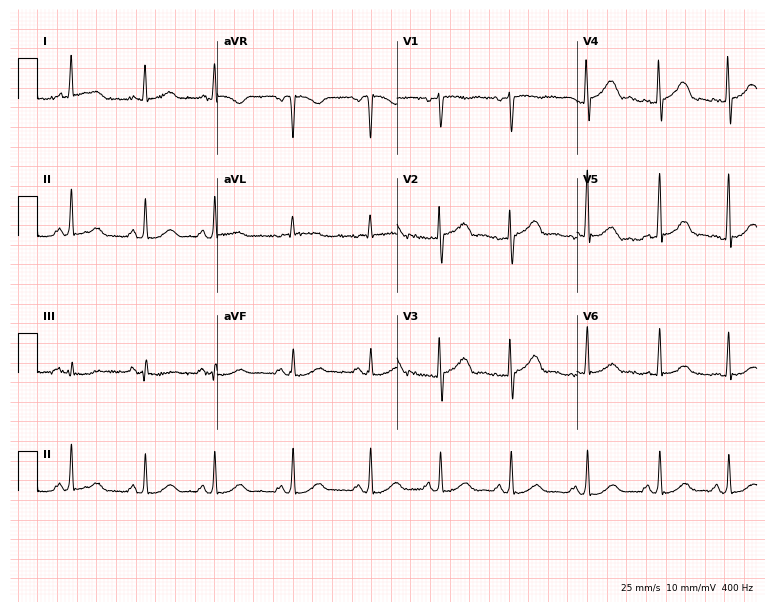
ECG — a female patient, 37 years old. Labelled as a normal ECG.